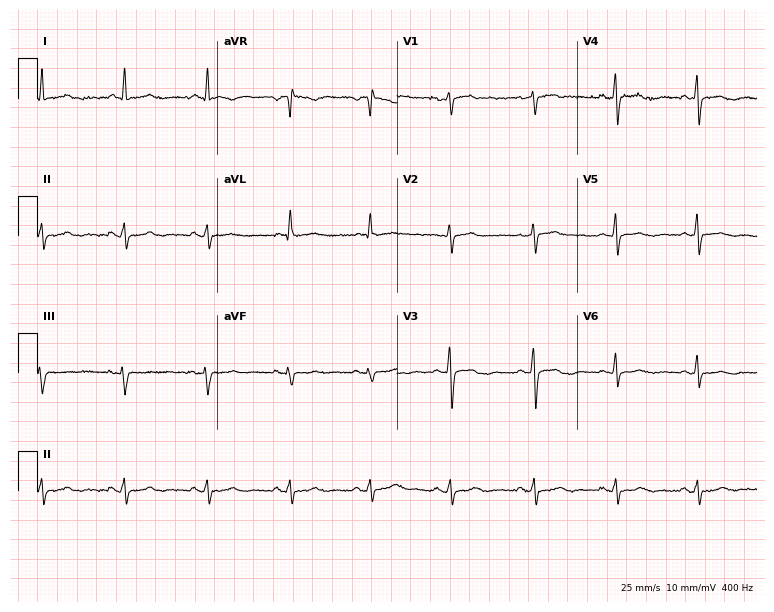
Resting 12-lead electrocardiogram (7.3-second recording at 400 Hz). Patient: a 60-year-old woman. None of these six findings is recorded: first-degree AV block, right bundle branch block, left bundle branch block, sinus bradycardia, atrial fibrillation, sinus tachycardia.